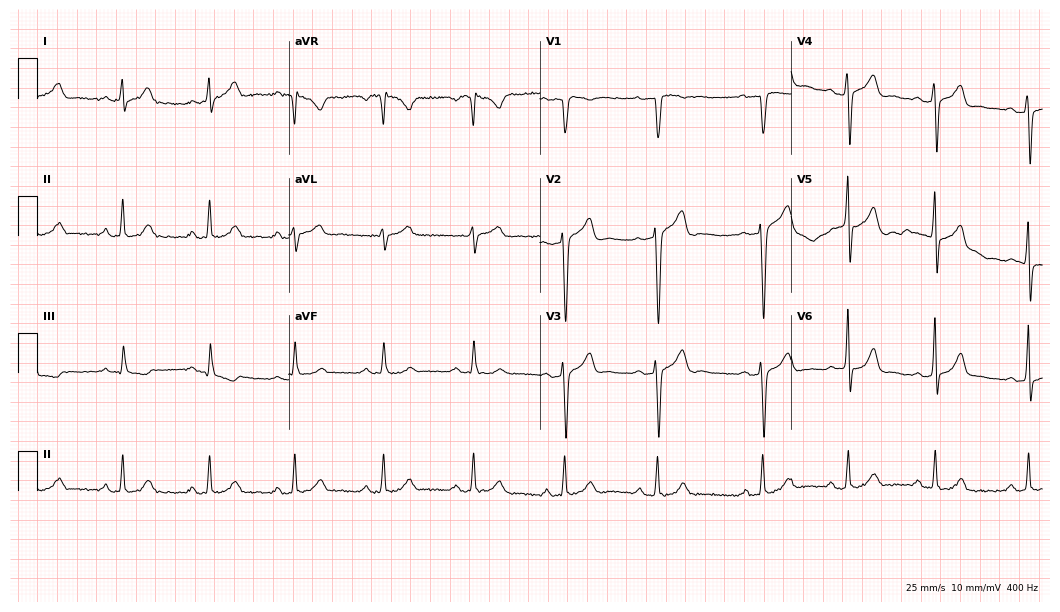
Resting 12-lead electrocardiogram (10.2-second recording at 400 Hz). Patient: a male, 43 years old. None of these six findings is recorded: first-degree AV block, right bundle branch block, left bundle branch block, sinus bradycardia, atrial fibrillation, sinus tachycardia. Other findings, if any, are not listed.